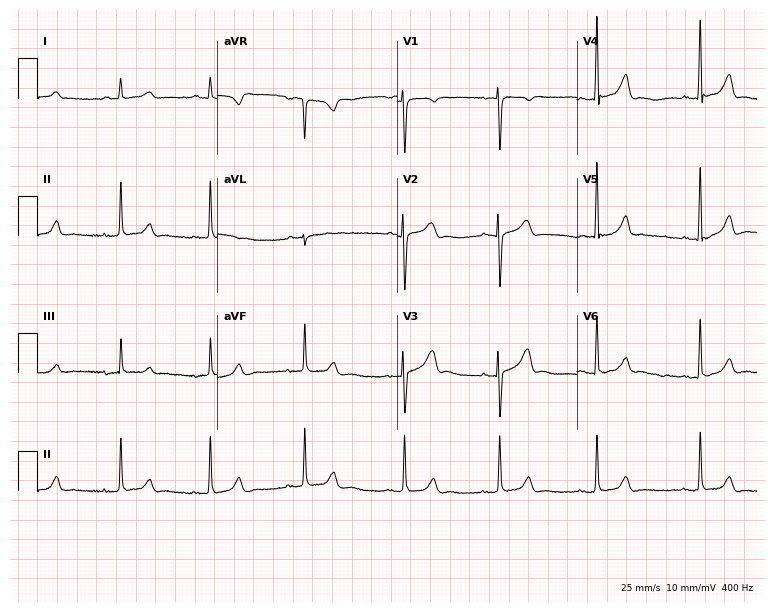
ECG — a female, 35 years old. Labelled as a normal ECG.